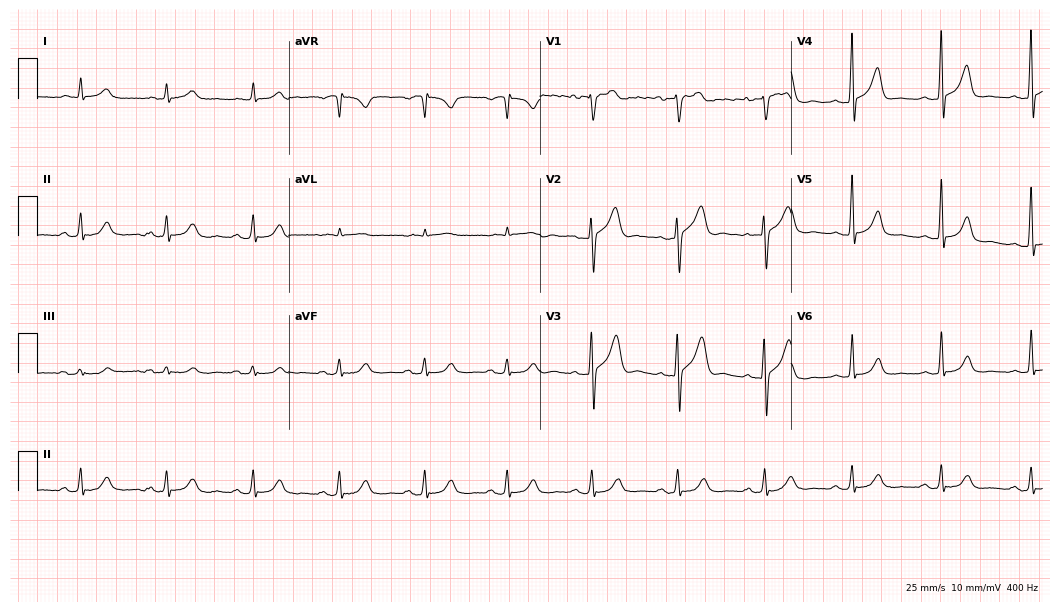
12-lead ECG from an 83-year-old man. No first-degree AV block, right bundle branch block (RBBB), left bundle branch block (LBBB), sinus bradycardia, atrial fibrillation (AF) or sinus tachycardia recorded for this tracing. Other findings, if any, are not listed.